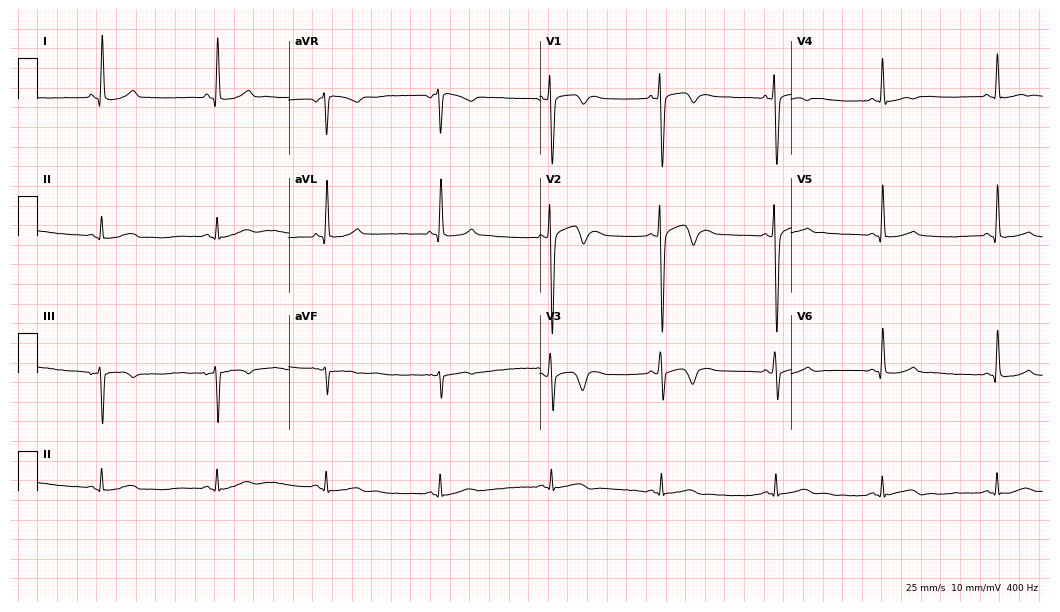
12-lead ECG from a male patient, 19 years old (10.2-second recording at 400 Hz). No first-degree AV block, right bundle branch block, left bundle branch block, sinus bradycardia, atrial fibrillation or sinus tachycardia recorded for this tracing.